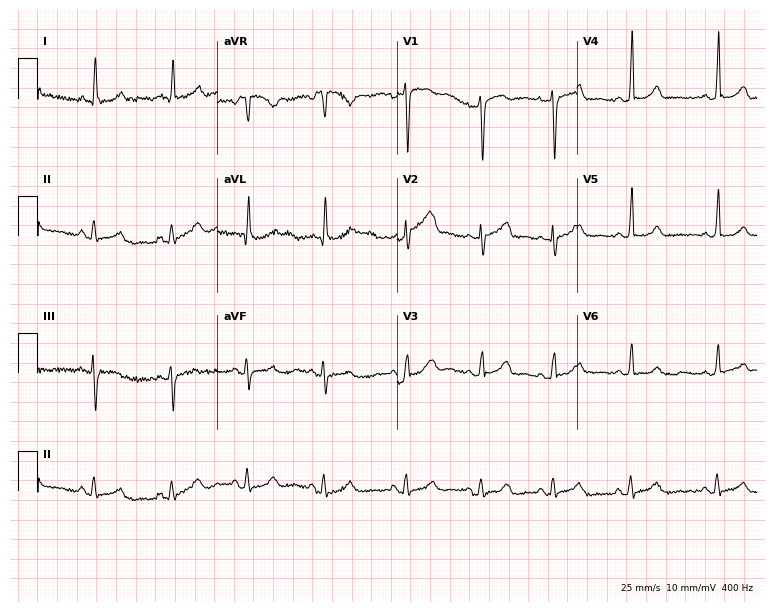
Standard 12-lead ECG recorded from a 40-year-old female patient (7.3-second recording at 400 Hz). None of these six findings is recorded: first-degree AV block, right bundle branch block, left bundle branch block, sinus bradycardia, atrial fibrillation, sinus tachycardia.